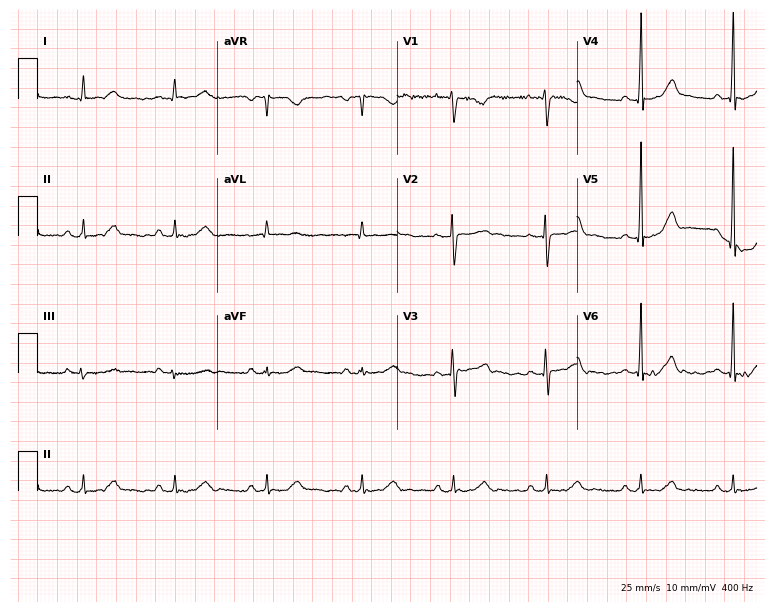
Resting 12-lead electrocardiogram (7.3-second recording at 400 Hz). Patient: a female, 41 years old. None of these six findings is recorded: first-degree AV block, right bundle branch block, left bundle branch block, sinus bradycardia, atrial fibrillation, sinus tachycardia.